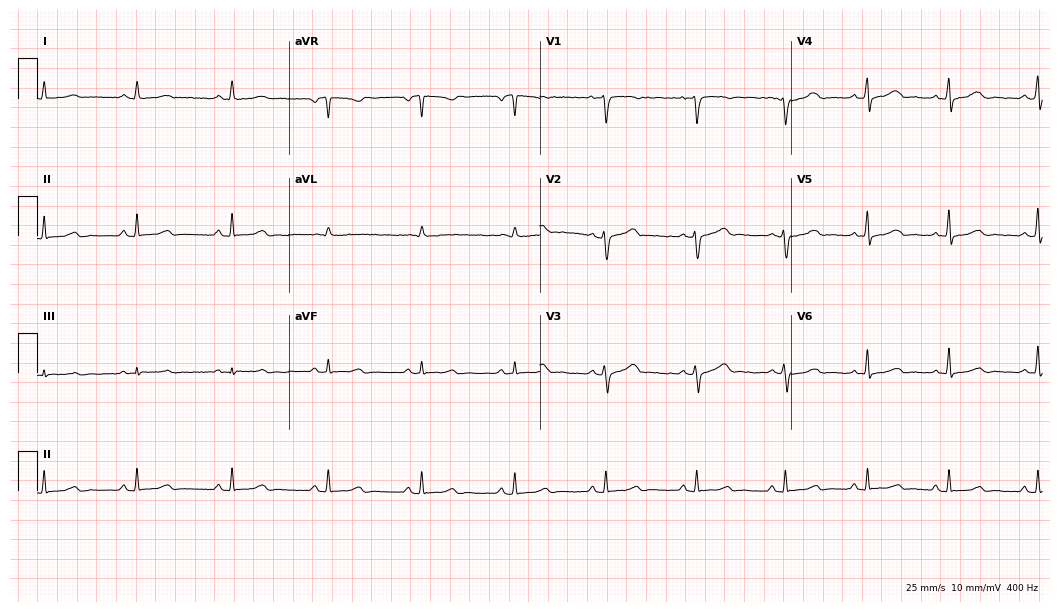
12-lead ECG from a female, 35 years old (10.2-second recording at 400 Hz). Recorded interpretation: within normal limits.